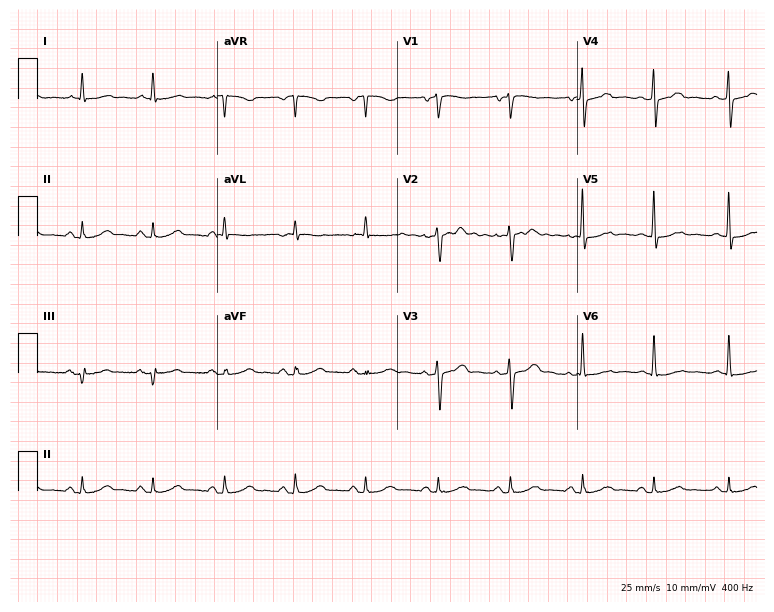
Electrocardiogram, a 75-year-old male. Overall reading on record: normal ECG.